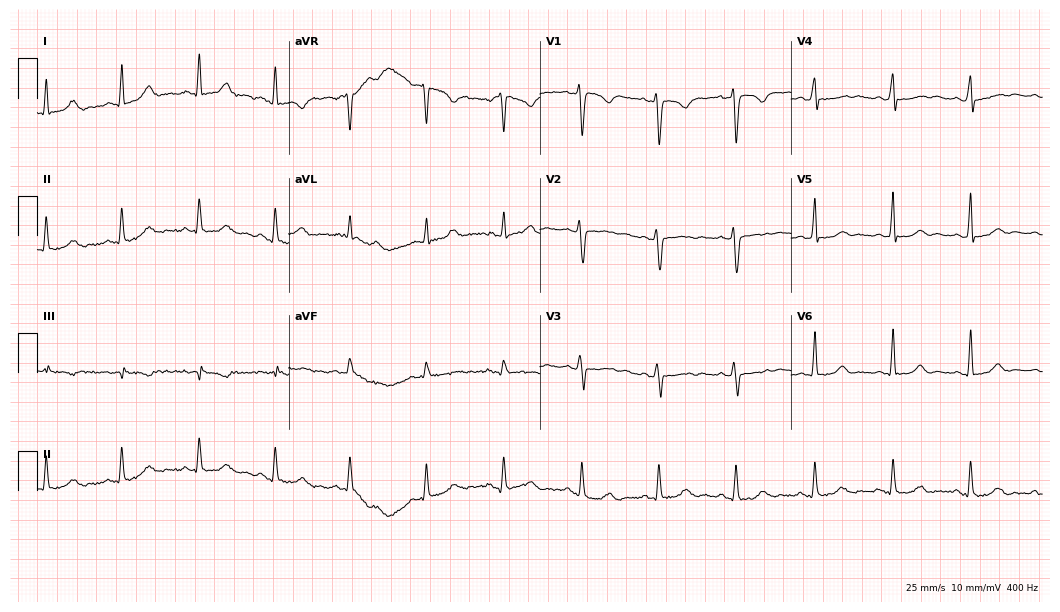
ECG — a 33-year-old woman. Labelled as a normal ECG.